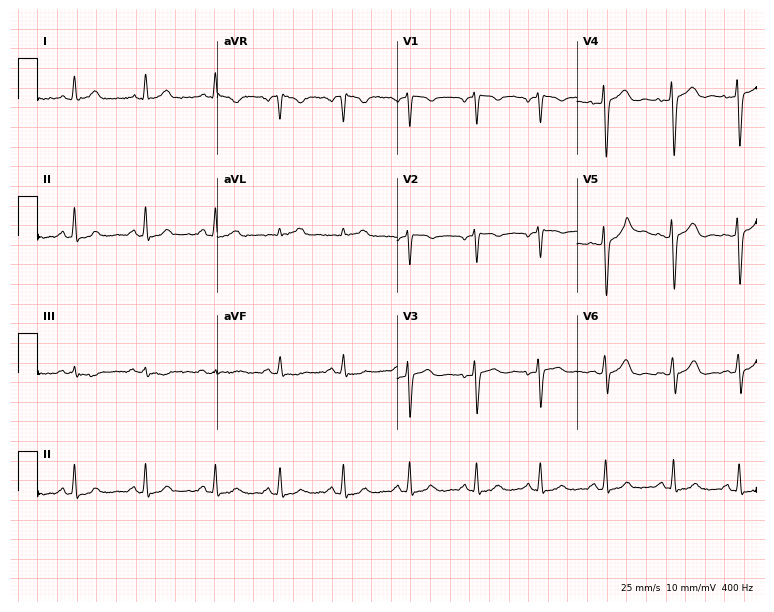
12-lead ECG from a female, 33 years old (7.3-second recording at 400 Hz). No first-degree AV block, right bundle branch block, left bundle branch block, sinus bradycardia, atrial fibrillation or sinus tachycardia recorded for this tracing. Findings outside these six are not listed.